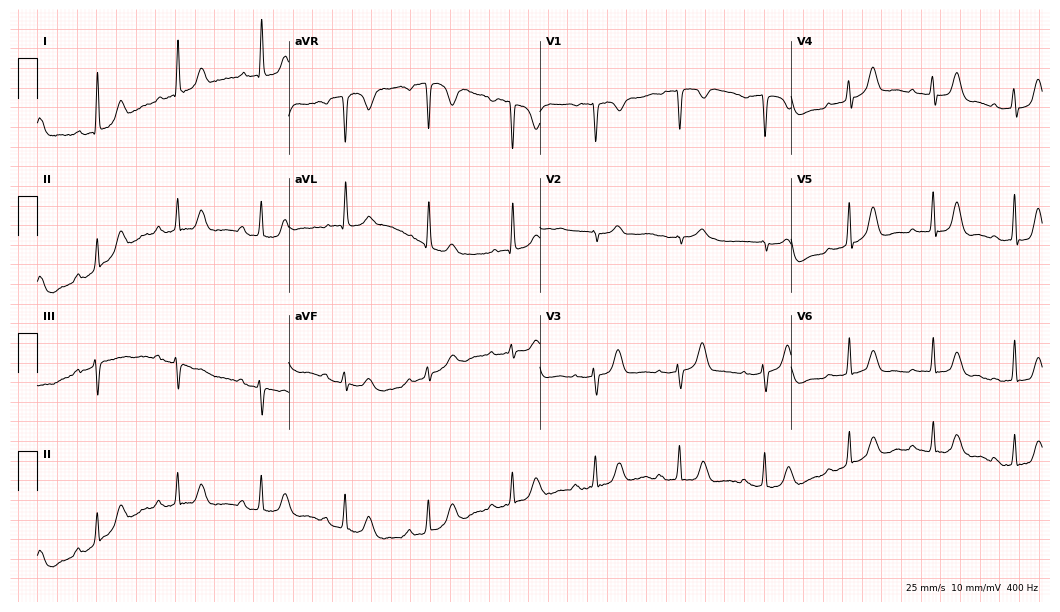
Electrocardiogram, a female patient, 75 years old. Of the six screened findings (first-degree AV block, right bundle branch block (RBBB), left bundle branch block (LBBB), sinus bradycardia, atrial fibrillation (AF), sinus tachycardia), none is recorded. Only these six findings were labelled.